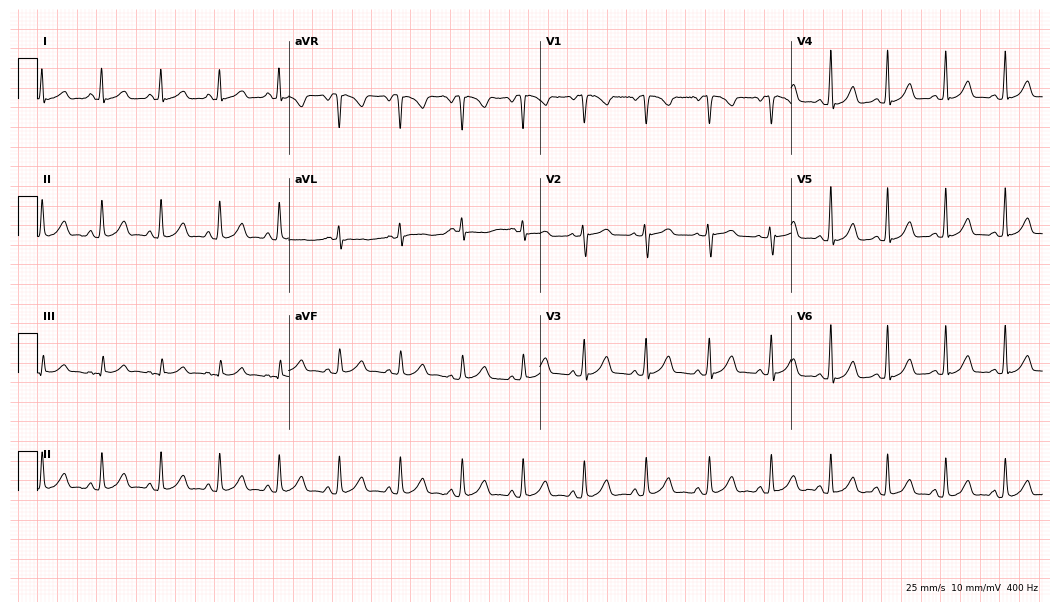
12-lead ECG (10.2-second recording at 400 Hz) from a 27-year-old female. Labelled as a normal ECG.